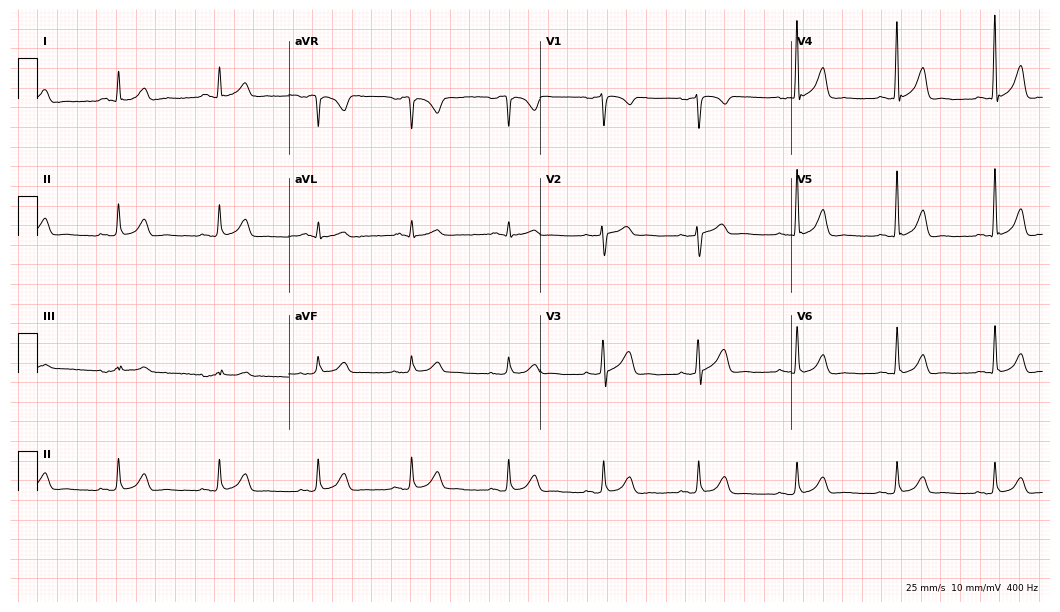
12-lead ECG from a 52-year-old man. Labelled as a normal ECG.